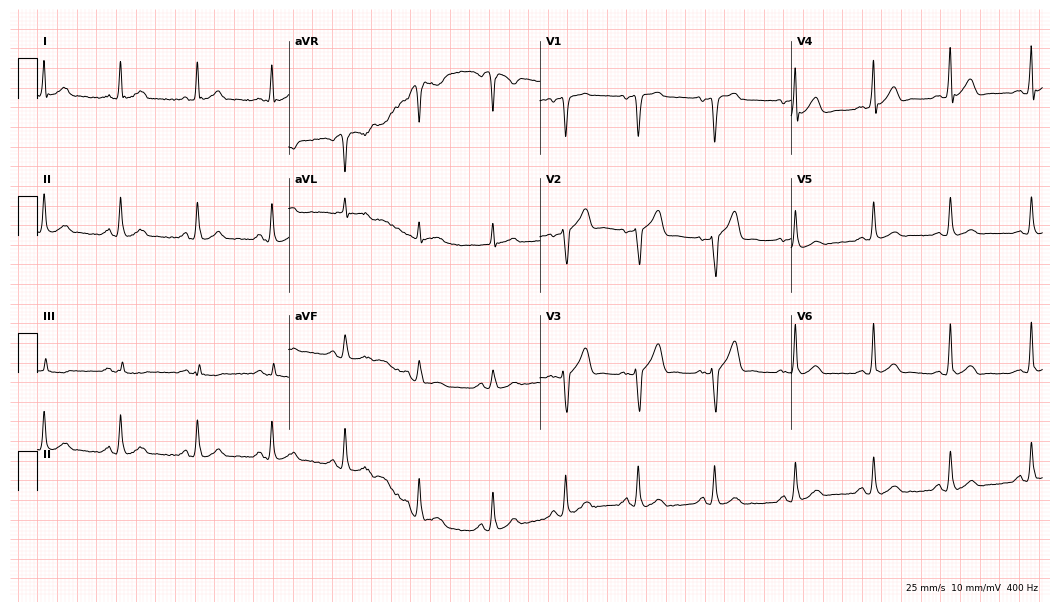
Standard 12-lead ECG recorded from a male, 38 years old (10.2-second recording at 400 Hz). Read as a normal ECG.